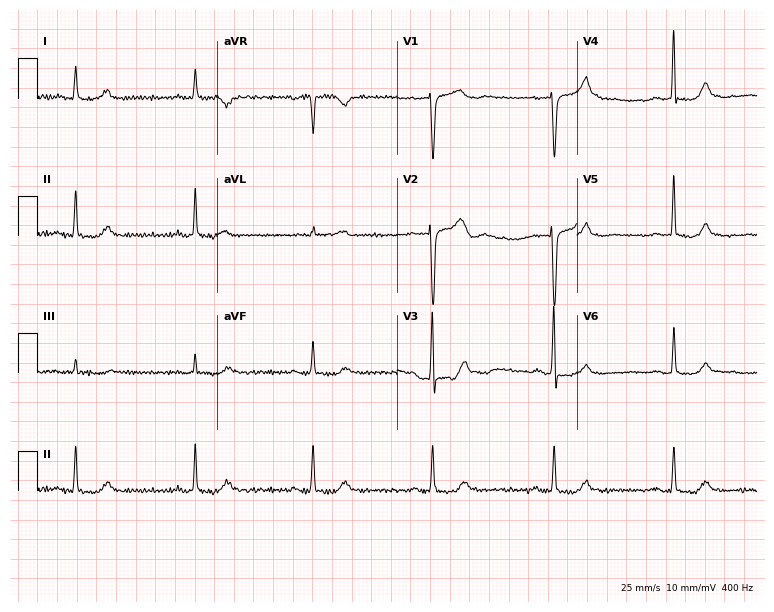
Electrocardiogram (7.3-second recording at 400 Hz), a 60-year-old female patient. Of the six screened findings (first-degree AV block, right bundle branch block, left bundle branch block, sinus bradycardia, atrial fibrillation, sinus tachycardia), none is recorded. Only these six findings were labelled.